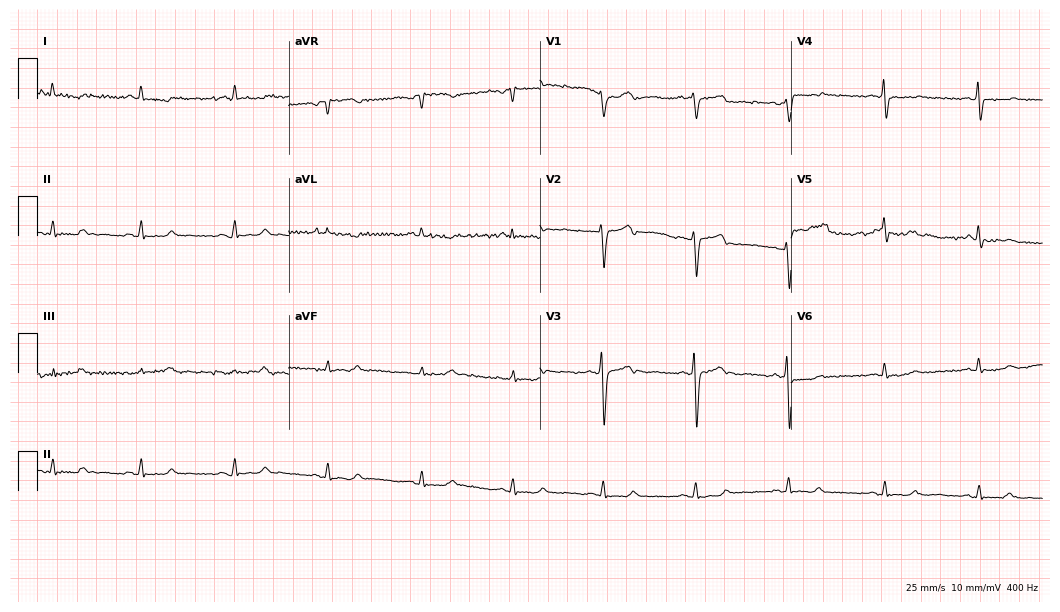
Resting 12-lead electrocardiogram (10.2-second recording at 400 Hz). Patient: a woman, 51 years old. None of these six findings is recorded: first-degree AV block, right bundle branch block, left bundle branch block, sinus bradycardia, atrial fibrillation, sinus tachycardia. Only these six findings were labelled.